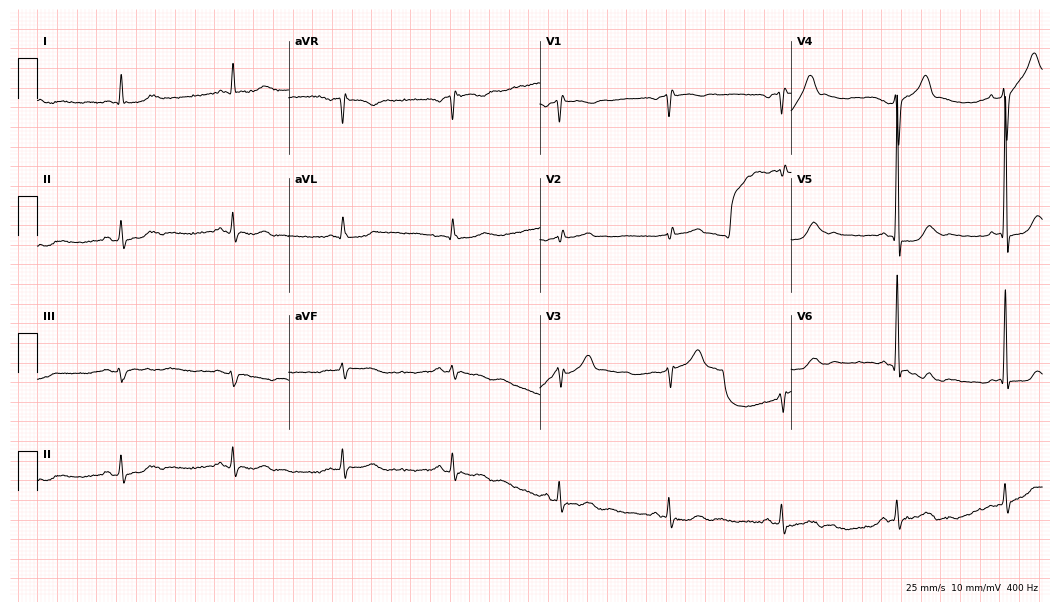
12-lead ECG (10.2-second recording at 400 Hz) from a 69-year-old male. Screened for six findings — first-degree AV block, right bundle branch block, left bundle branch block, sinus bradycardia, atrial fibrillation, sinus tachycardia — none is recorded. Other findings, if any, are not listed.